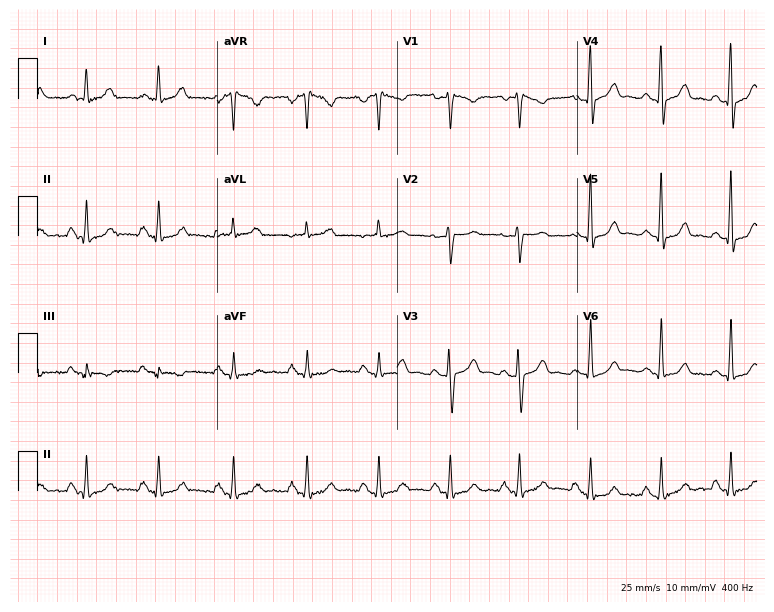
Resting 12-lead electrocardiogram (7.3-second recording at 400 Hz). Patient: a female, 37 years old. Read as a normal ECG.